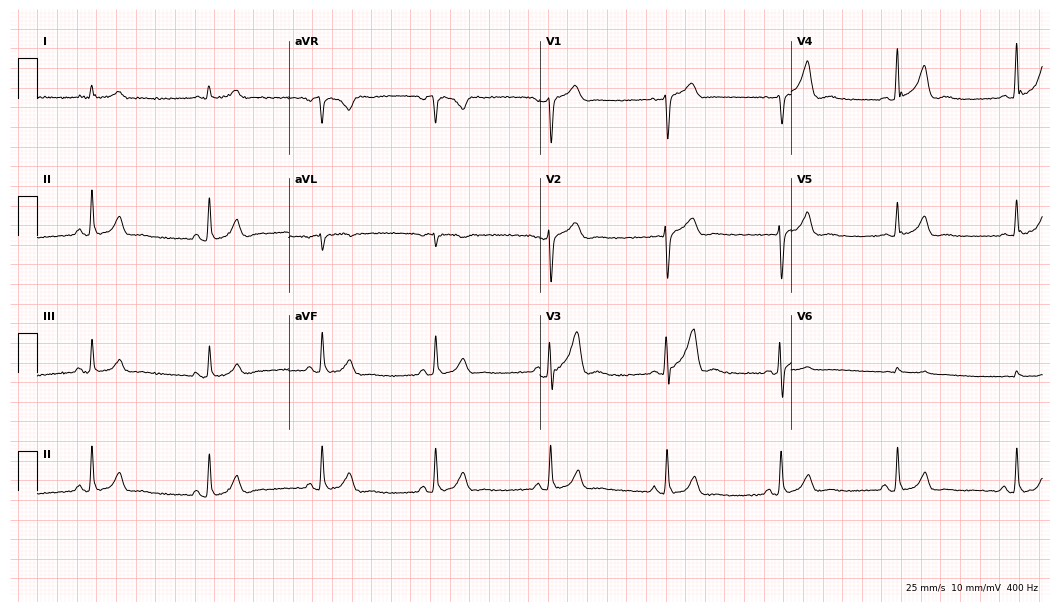
Standard 12-lead ECG recorded from a 61-year-old male. The tracing shows sinus bradycardia (a sinus rate of 50 beats per minute or less).